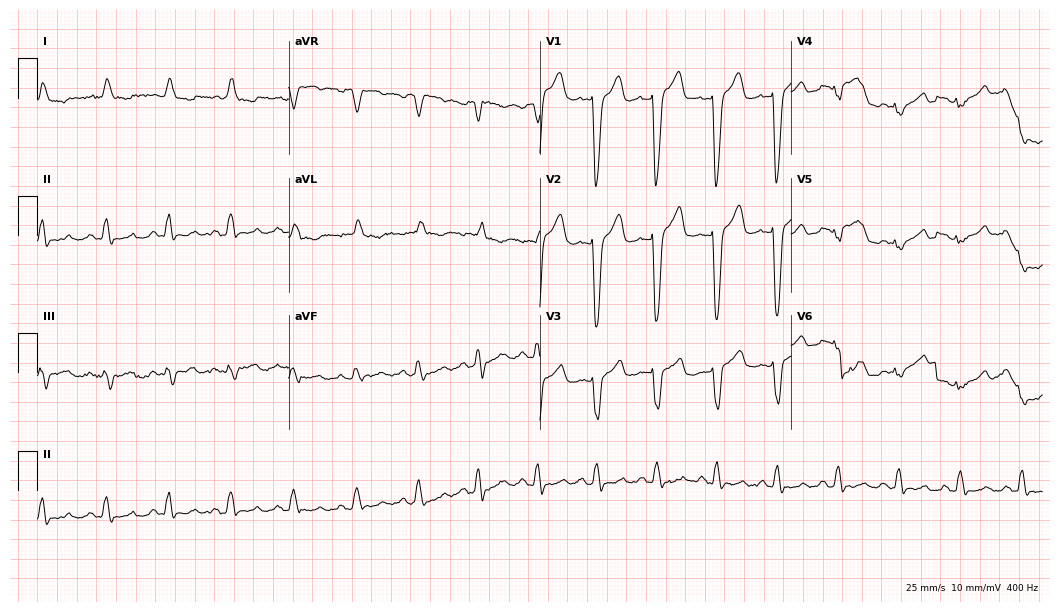
Resting 12-lead electrocardiogram. Patient: a man, 79 years old. The tracing shows left bundle branch block.